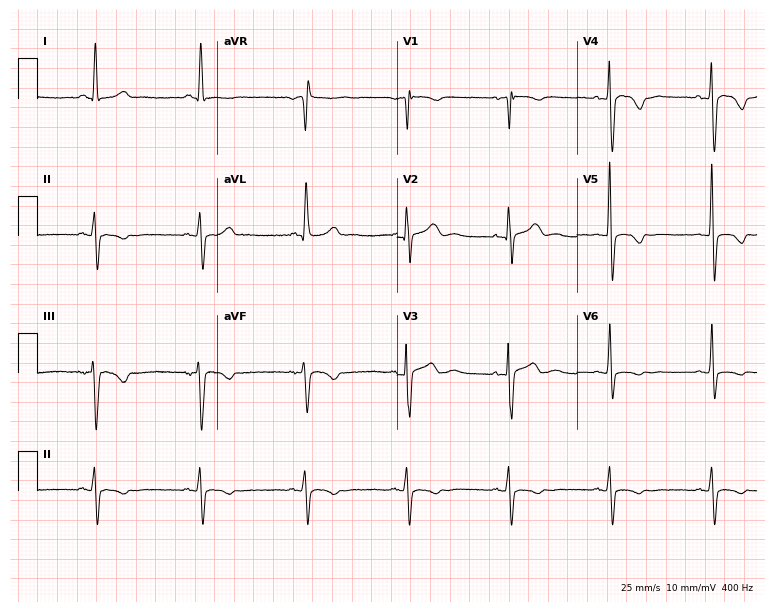
12-lead ECG from a female patient, 56 years old. No first-degree AV block, right bundle branch block (RBBB), left bundle branch block (LBBB), sinus bradycardia, atrial fibrillation (AF) or sinus tachycardia recorded for this tracing.